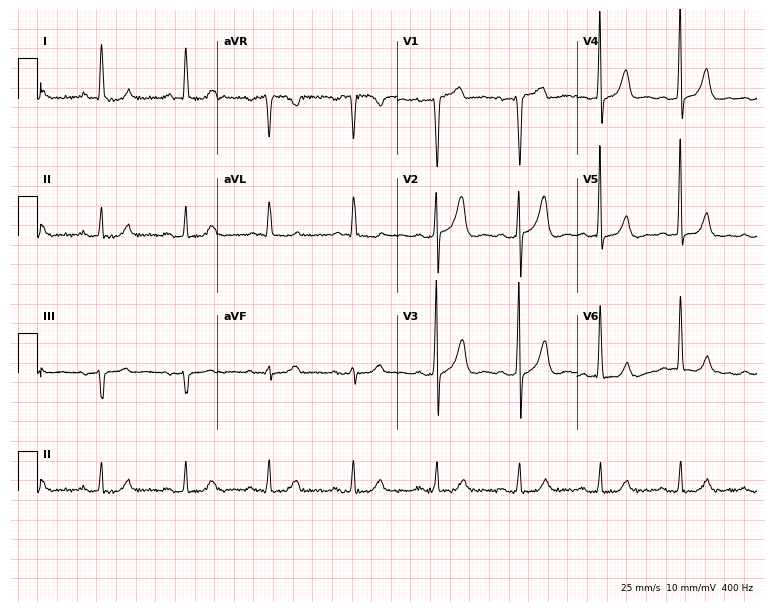
ECG (7.3-second recording at 400 Hz) — a man, 60 years old. Labelled as a normal ECG.